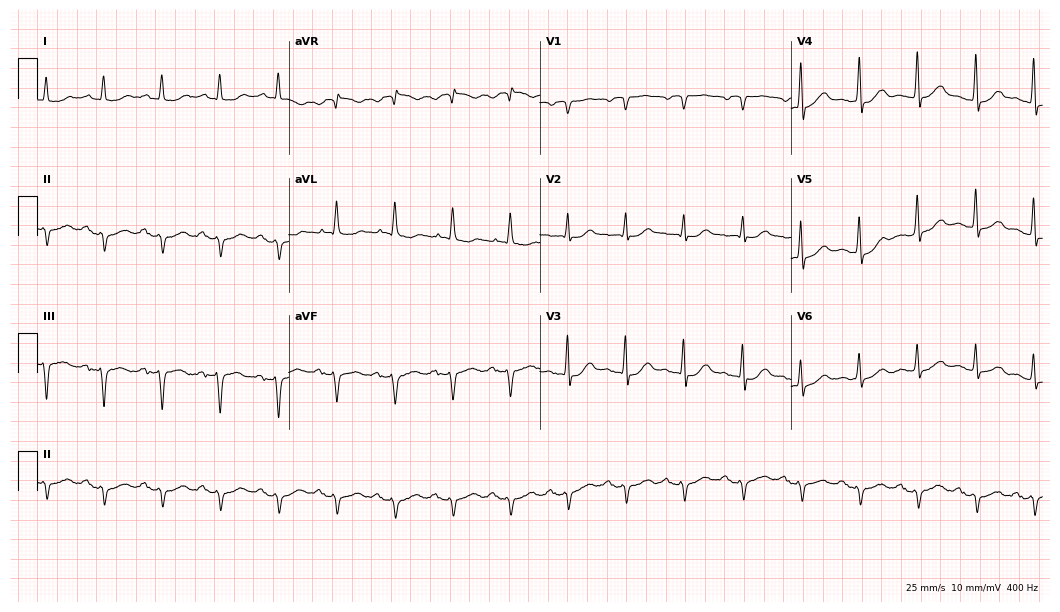
Electrocardiogram (10.2-second recording at 400 Hz), a 78-year-old man. Interpretation includes sinus tachycardia (a sinus rate of 100 beats per minute or more).